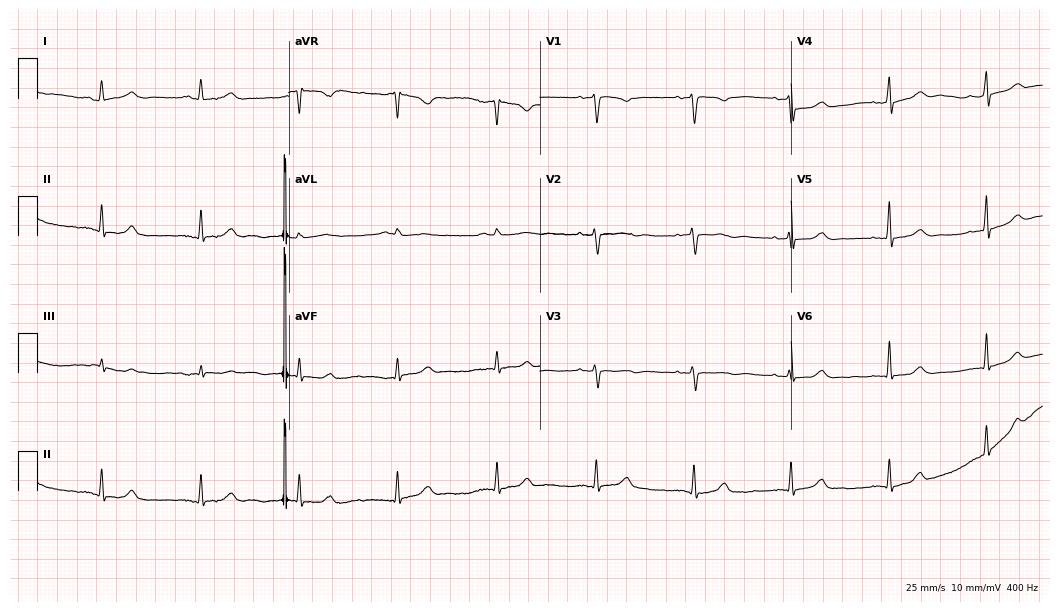
ECG (10.2-second recording at 400 Hz) — a 52-year-old female patient. Screened for six findings — first-degree AV block, right bundle branch block (RBBB), left bundle branch block (LBBB), sinus bradycardia, atrial fibrillation (AF), sinus tachycardia — none is recorded. Other findings, if any, are not listed.